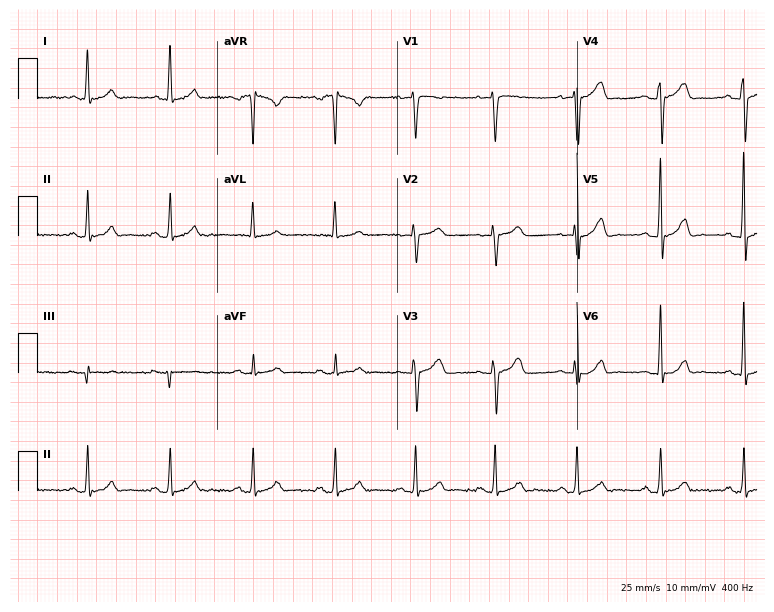
12-lead ECG from a 29-year-old female (7.3-second recording at 400 Hz). Recorded interpretation: within normal limits.